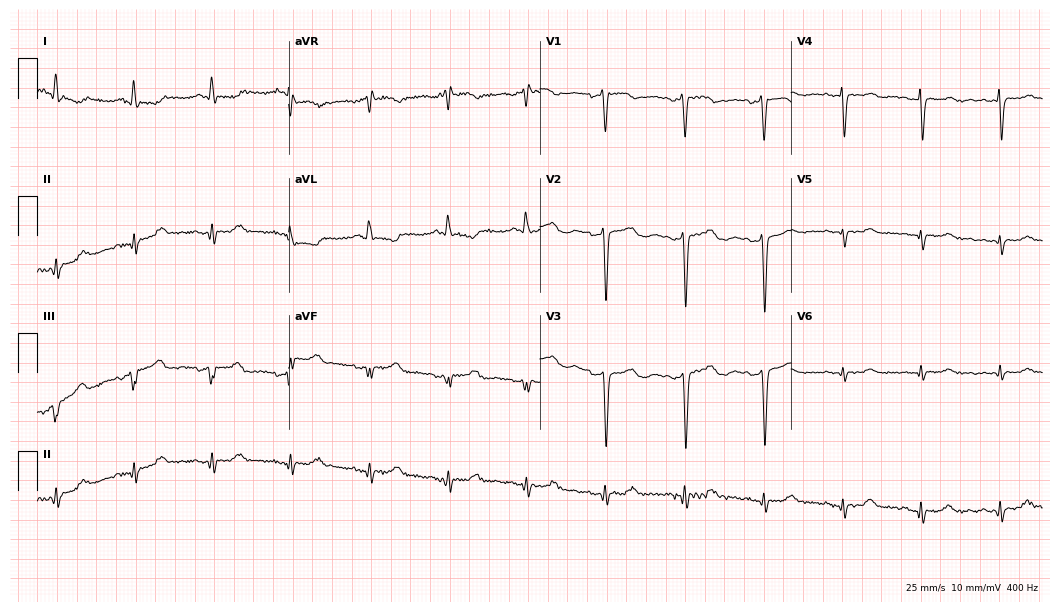
12-lead ECG from a female, 58 years old (10.2-second recording at 400 Hz). No first-degree AV block, right bundle branch block (RBBB), left bundle branch block (LBBB), sinus bradycardia, atrial fibrillation (AF) or sinus tachycardia recorded for this tracing.